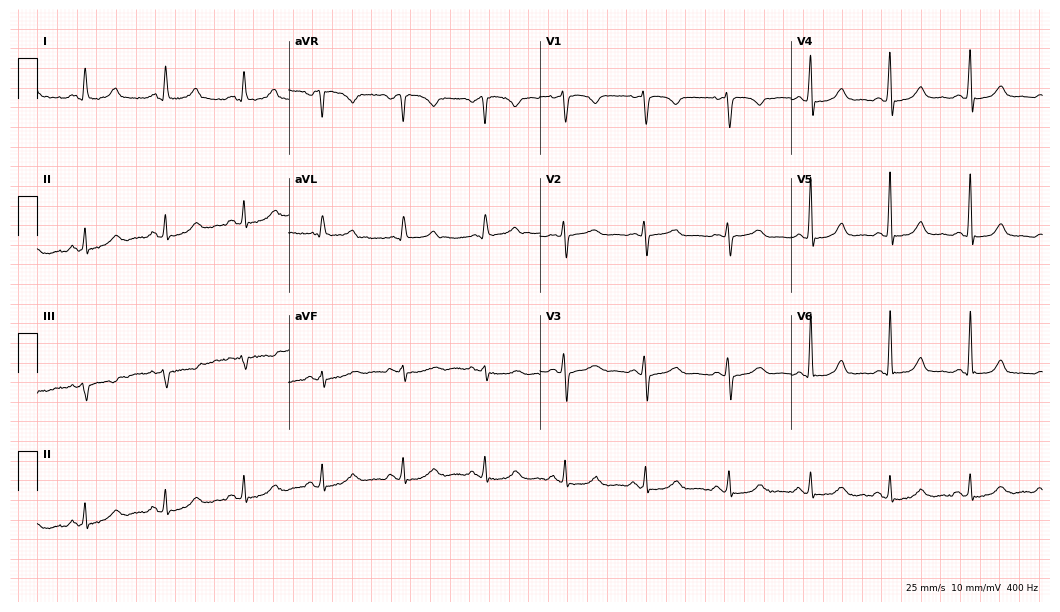
12-lead ECG (10.2-second recording at 400 Hz) from a 50-year-old woman. Screened for six findings — first-degree AV block, right bundle branch block, left bundle branch block, sinus bradycardia, atrial fibrillation, sinus tachycardia — none is recorded. Only these six findings were labelled.